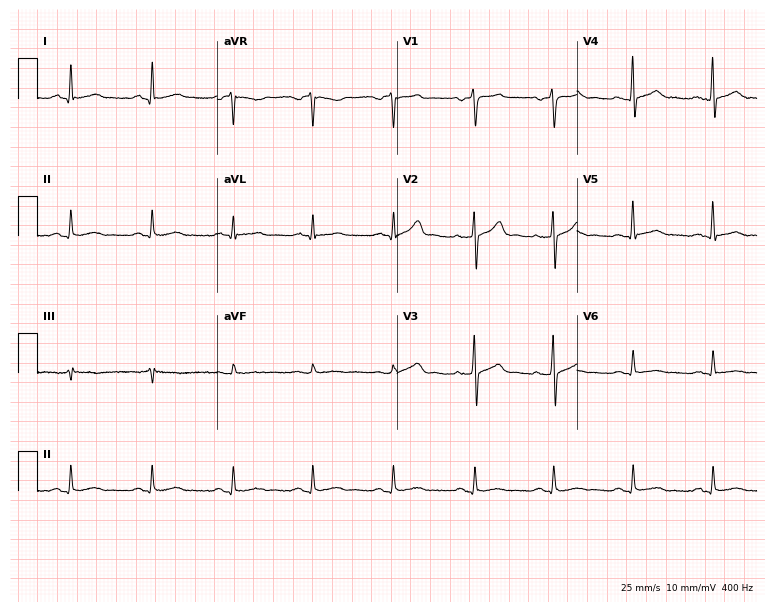
ECG (7.3-second recording at 400 Hz) — a 45-year-old man. Screened for six findings — first-degree AV block, right bundle branch block (RBBB), left bundle branch block (LBBB), sinus bradycardia, atrial fibrillation (AF), sinus tachycardia — none is recorded.